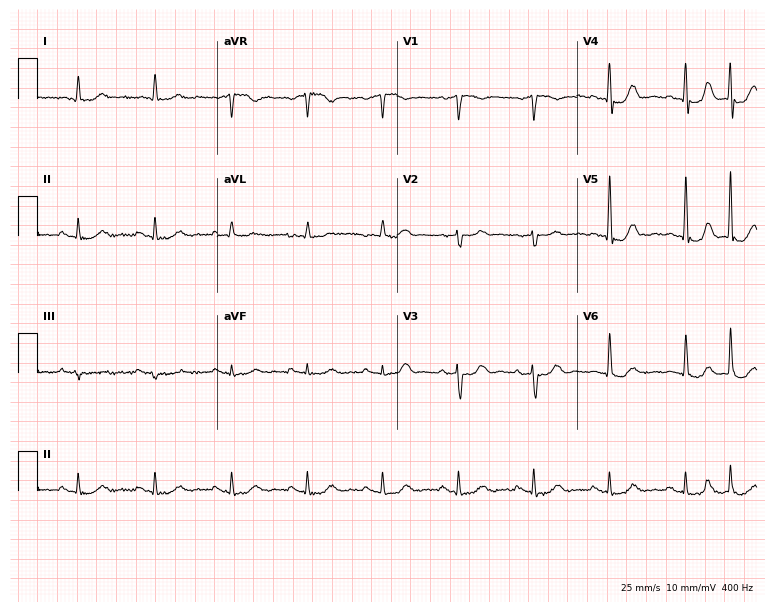
Resting 12-lead electrocardiogram. Patient: an 81-year-old male. None of these six findings is recorded: first-degree AV block, right bundle branch block, left bundle branch block, sinus bradycardia, atrial fibrillation, sinus tachycardia. Other findings, if any, are not listed.